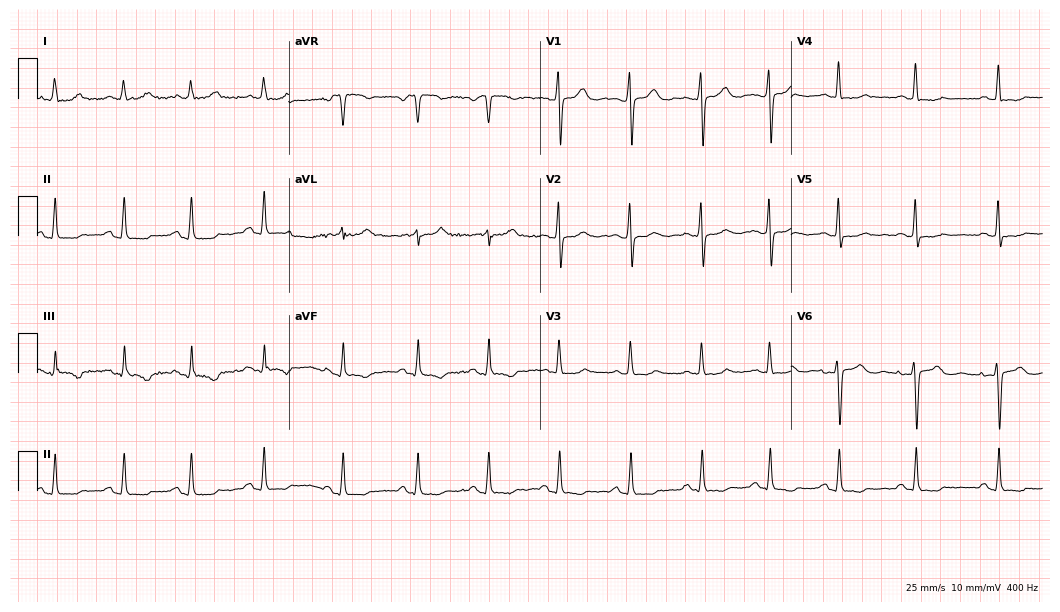
12-lead ECG (10.2-second recording at 400 Hz) from a female, 42 years old. Screened for six findings — first-degree AV block, right bundle branch block, left bundle branch block, sinus bradycardia, atrial fibrillation, sinus tachycardia — none is recorded. Only these six findings were labelled.